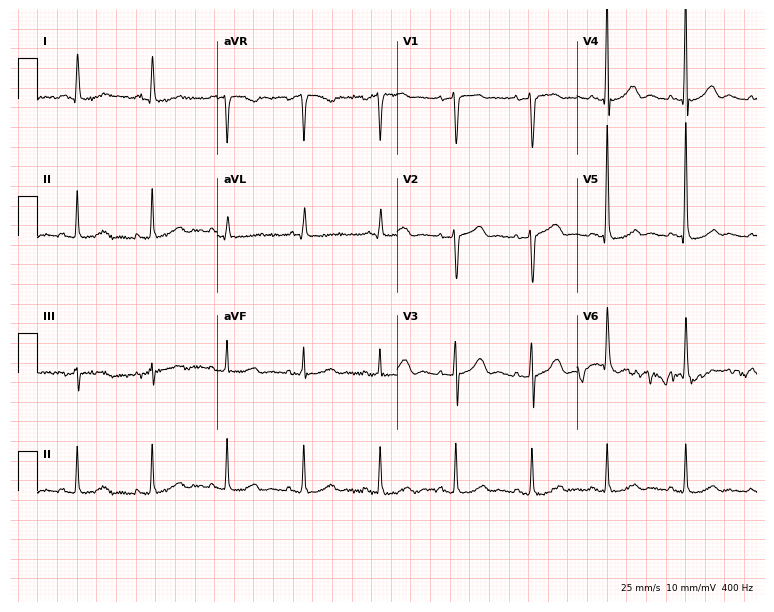
Resting 12-lead electrocardiogram (7.3-second recording at 400 Hz). Patient: a woman, 71 years old. None of these six findings is recorded: first-degree AV block, right bundle branch block, left bundle branch block, sinus bradycardia, atrial fibrillation, sinus tachycardia.